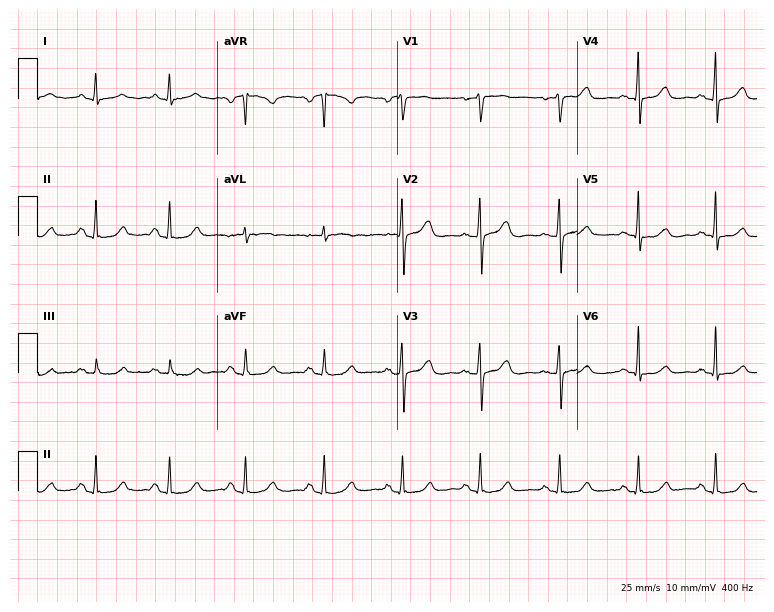
Standard 12-lead ECG recorded from a woman, 55 years old (7.3-second recording at 400 Hz). None of these six findings is recorded: first-degree AV block, right bundle branch block, left bundle branch block, sinus bradycardia, atrial fibrillation, sinus tachycardia.